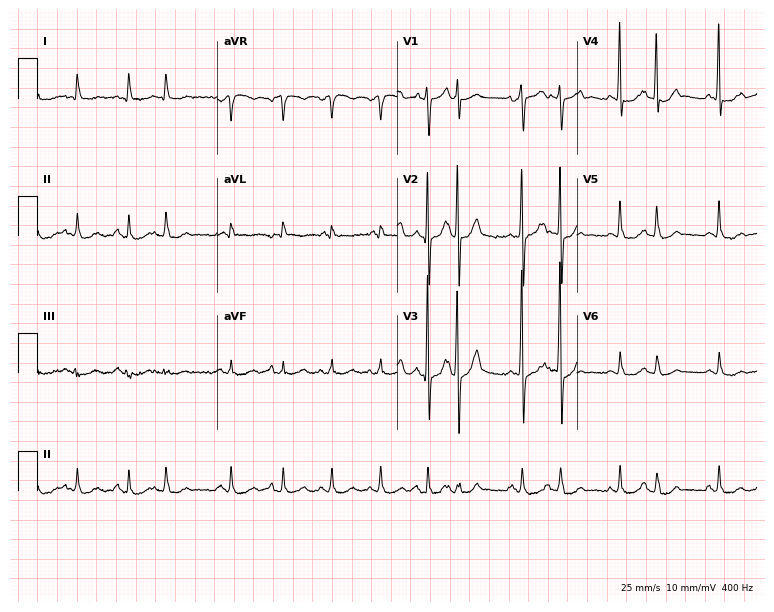
Standard 12-lead ECG recorded from a man, 72 years old. The tracing shows sinus tachycardia (a sinus rate of 100 beats per minute or more).